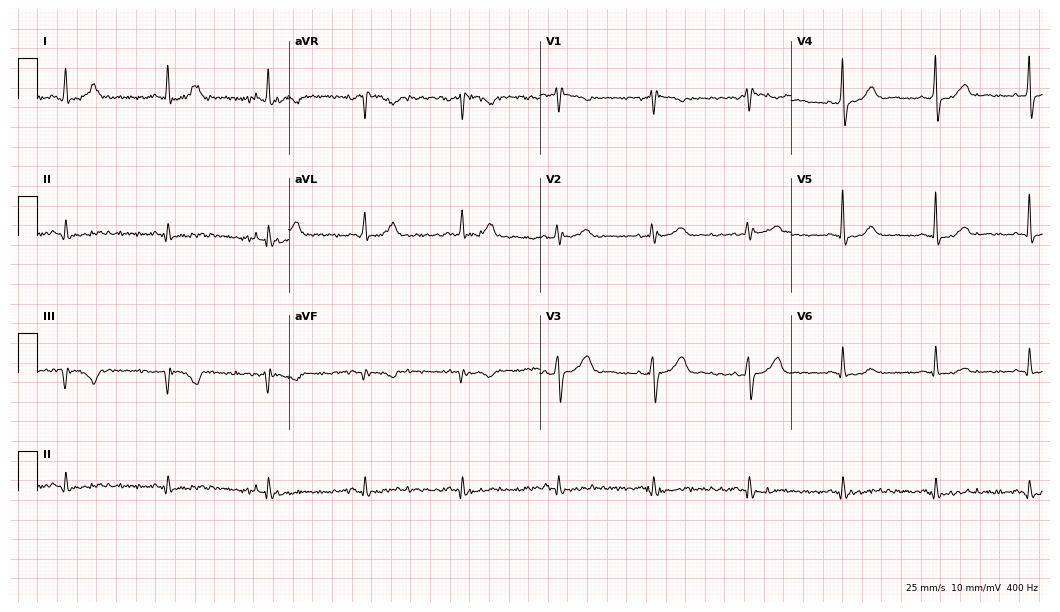
Electrocardiogram, a 50-year-old female. Of the six screened findings (first-degree AV block, right bundle branch block, left bundle branch block, sinus bradycardia, atrial fibrillation, sinus tachycardia), none is recorded. Findings outside these six are not listed.